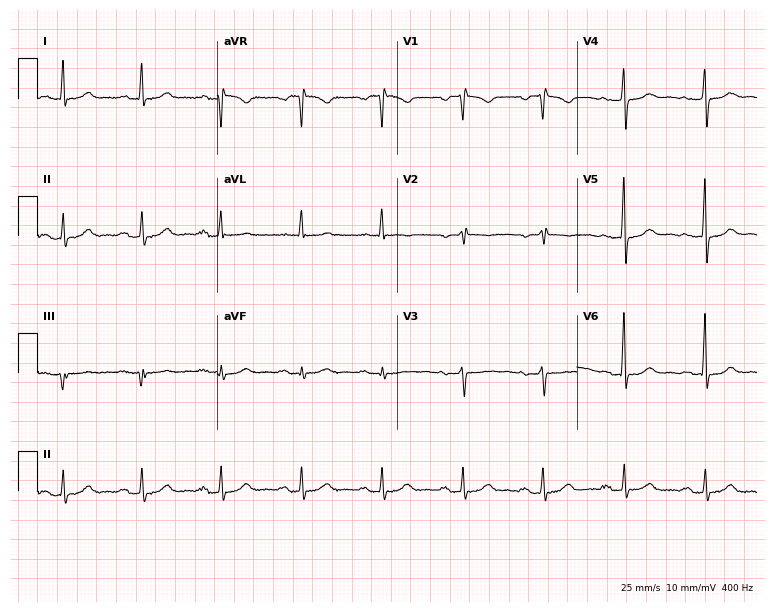
12-lead ECG from a 74-year-old female patient (7.3-second recording at 400 Hz). Shows first-degree AV block.